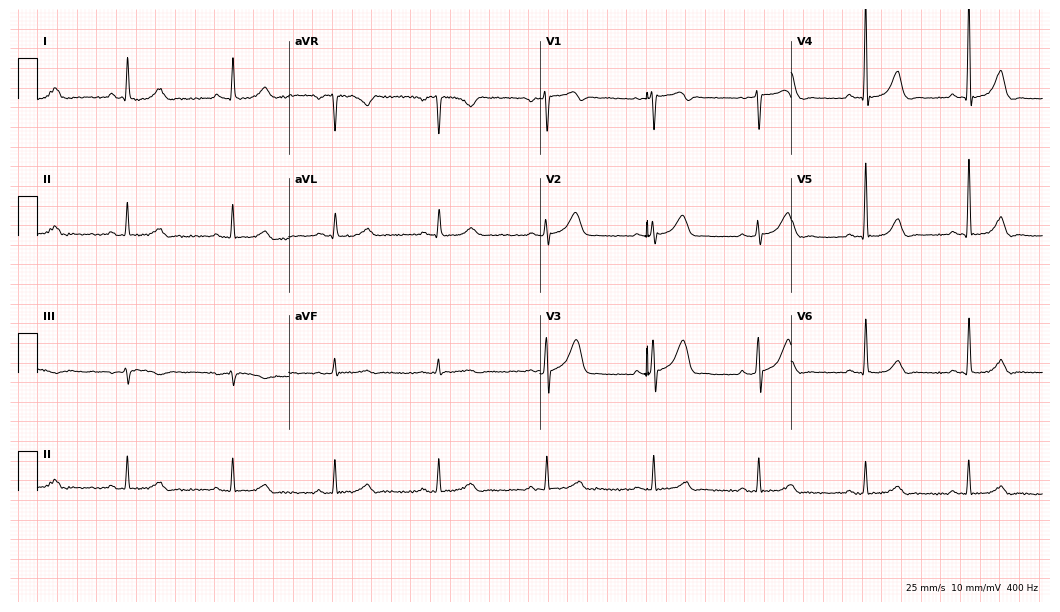
Standard 12-lead ECG recorded from a male patient, 57 years old (10.2-second recording at 400 Hz). Read as a normal ECG.